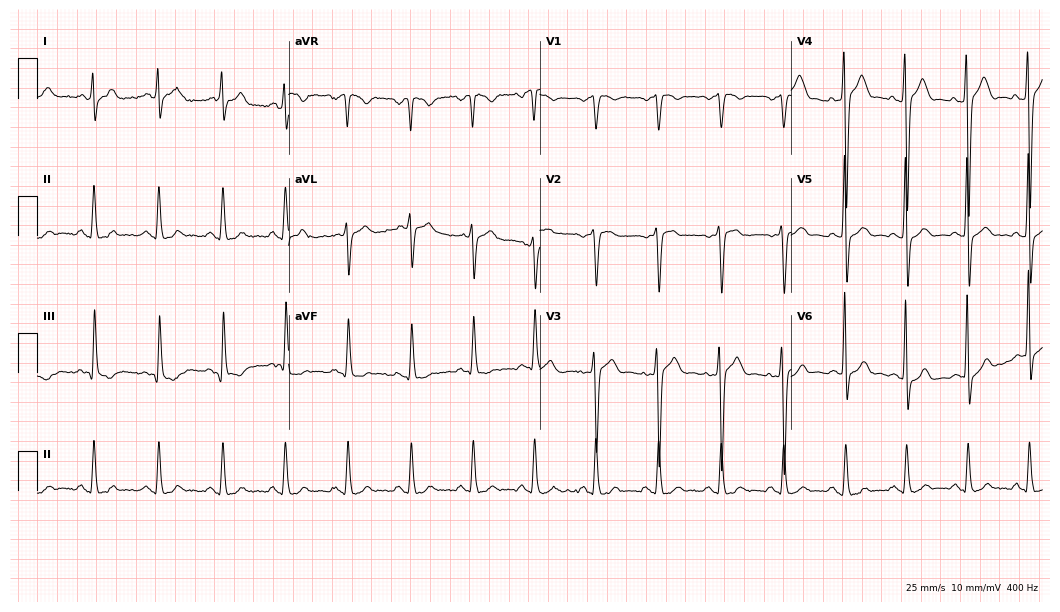
Standard 12-lead ECG recorded from a 27-year-old male patient (10.2-second recording at 400 Hz). Read as a normal ECG.